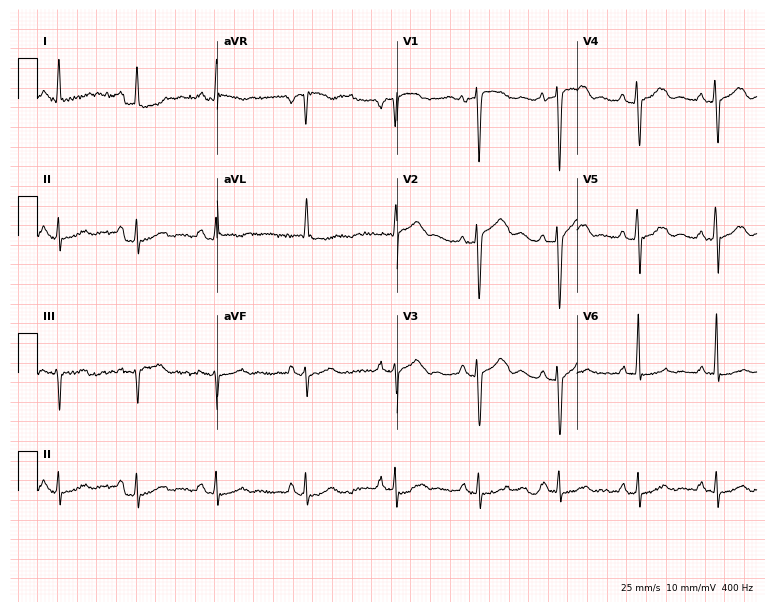
12-lead ECG from a 76-year-old male. No first-degree AV block, right bundle branch block, left bundle branch block, sinus bradycardia, atrial fibrillation or sinus tachycardia recorded for this tracing. Findings outside these six are not listed.